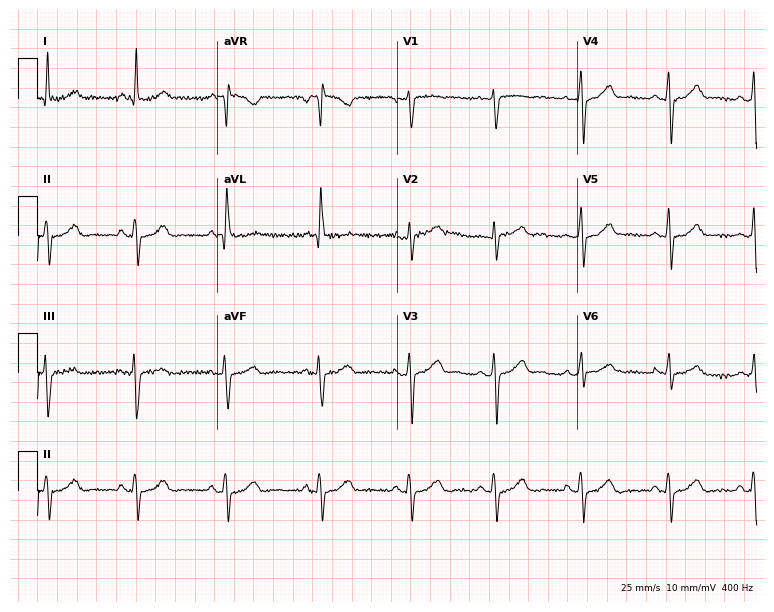
12-lead ECG from a woman, 62 years old. No first-degree AV block, right bundle branch block, left bundle branch block, sinus bradycardia, atrial fibrillation or sinus tachycardia recorded for this tracing.